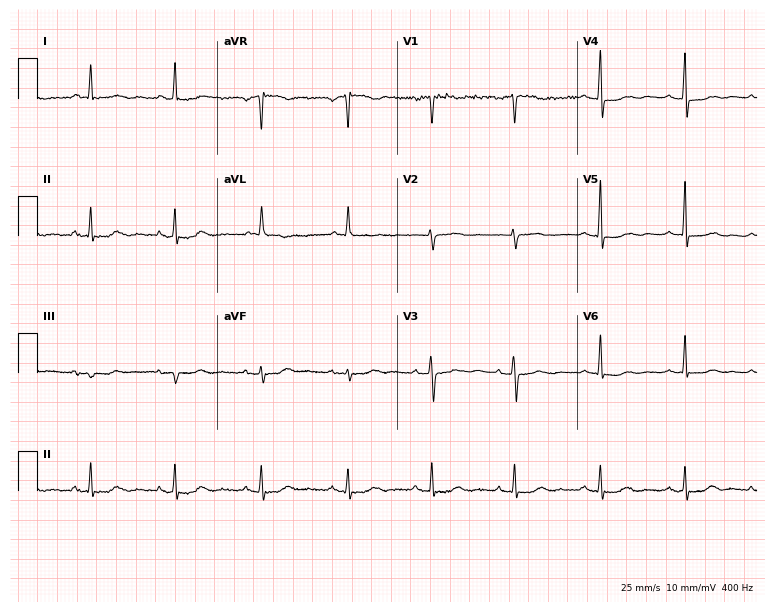
Electrocardiogram, a woman, 73 years old. Of the six screened findings (first-degree AV block, right bundle branch block, left bundle branch block, sinus bradycardia, atrial fibrillation, sinus tachycardia), none is recorded. Findings outside these six are not listed.